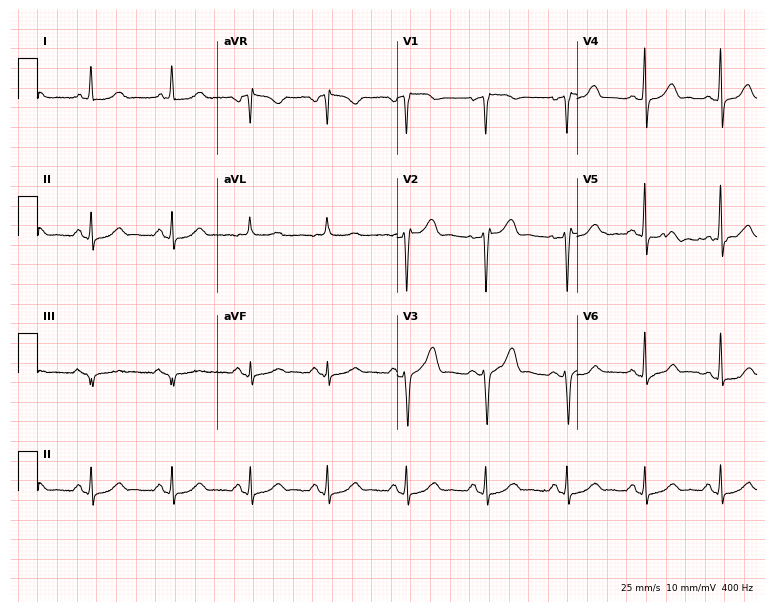
Electrocardiogram (7.3-second recording at 400 Hz), a 53-year-old female patient. Of the six screened findings (first-degree AV block, right bundle branch block (RBBB), left bundle branch block (LBBB), sinus bradycardia, atrial fibrillation (AF), sinus tachycardia), none is recorded. Only these six findings were labelled.